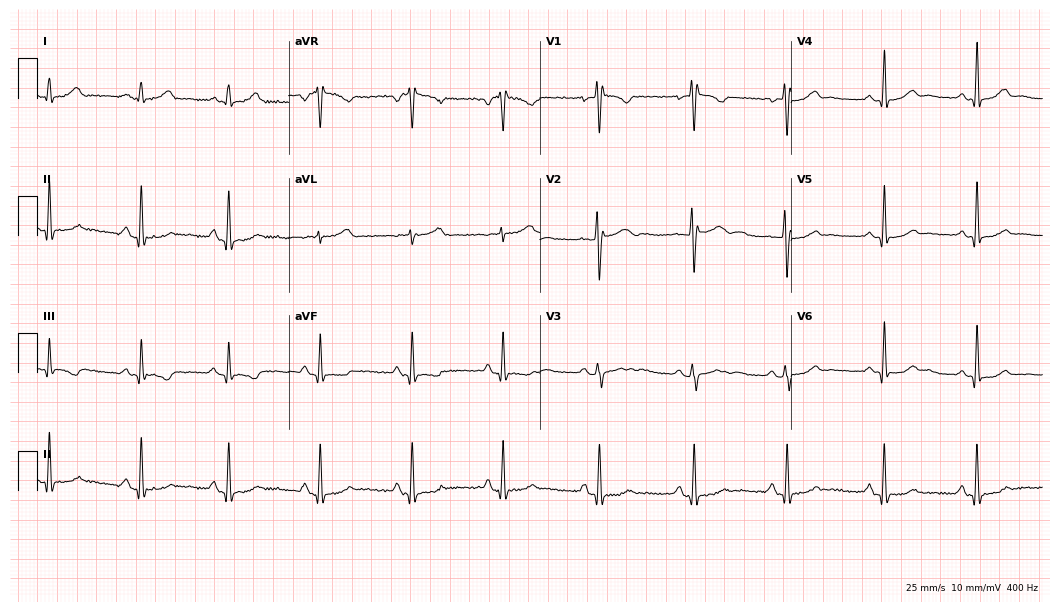
12-lead ECG (10.2-second recording at 400 Hz) from a 28-year-old female patient. Labelled as a normal ECG.